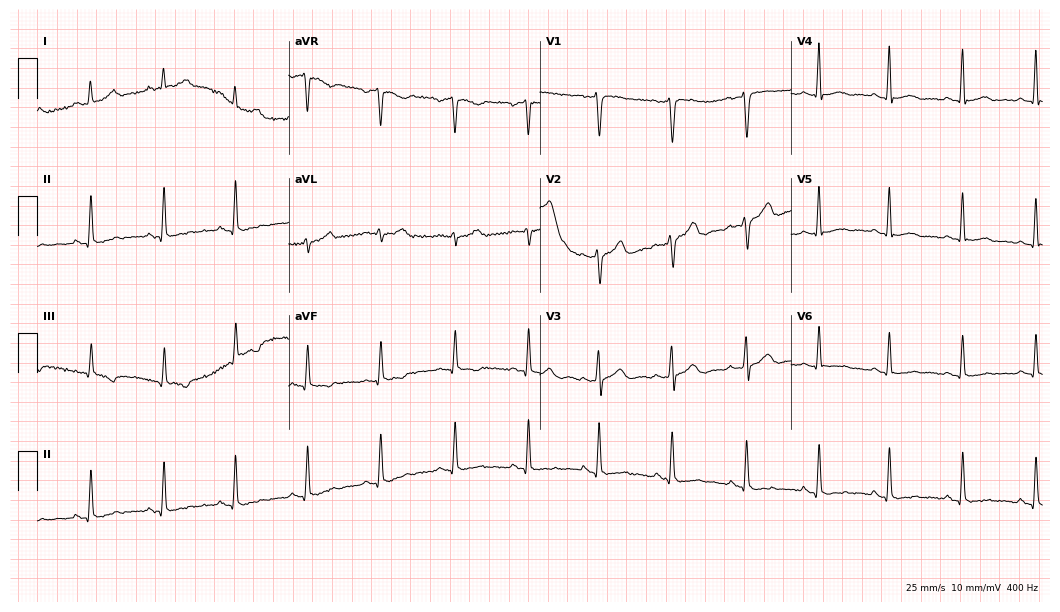
12-lead ECG from a 39-year-old female. Screened for six findings — first-degree AV block, right bundle branch block, left bundle branch block, sinus bradycardia, atrial fibrillation, sinus tachycardia — none is recorded. Findings outside these six are not listed.